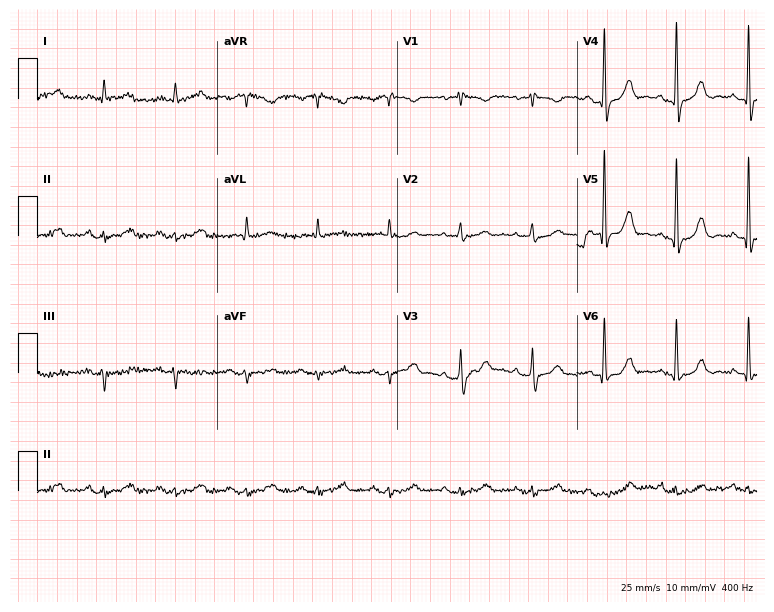
12-lead ECG from a male patient, 78 years old (7.3-second recording at 400 Hz). Recorded interpretation: within normal limits.